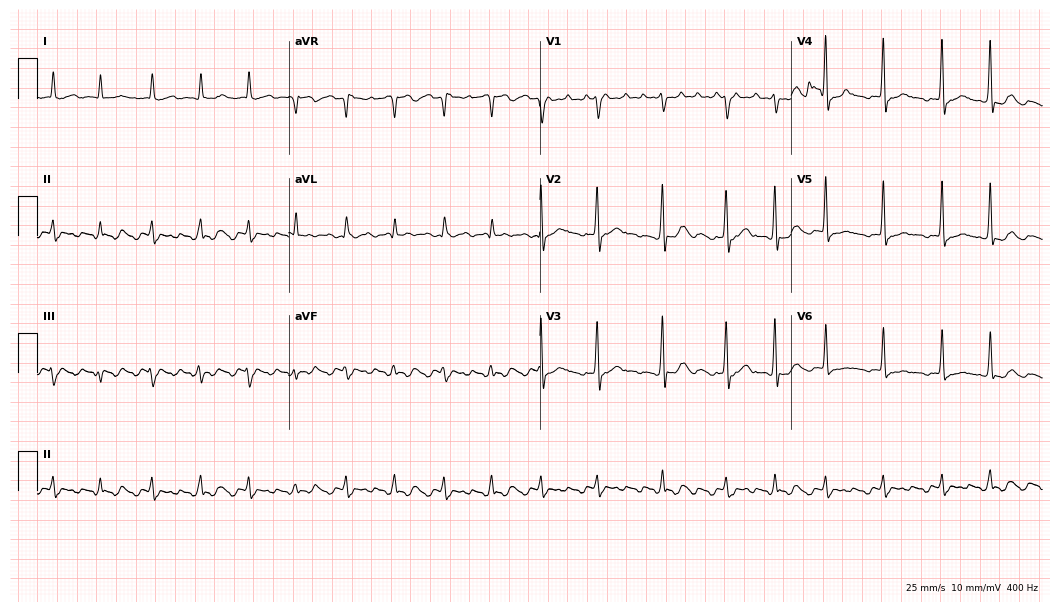
Resting 12-lead electrocardiogram (10.2-second recording at 400 Hz). Patient: a male, 75 years old. The tracing shows atrial fibrillation.